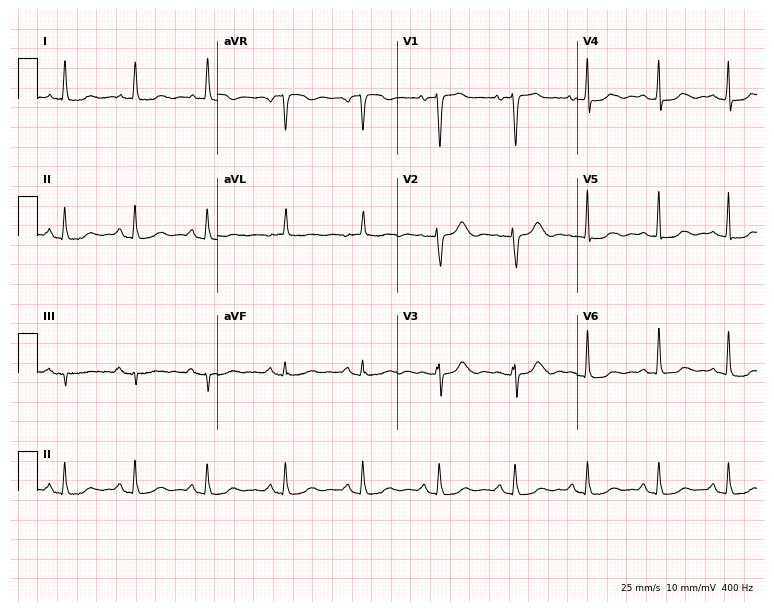
Standard 12-lead ECG recorded from a woman, 69 years old (7.3-second recording at 400 Hz). None of these six findings is recorded: first-degree AV block, right bundle branch block (RBBB), left bundle branch block (LBBB), sinus bradycardia, atrial fibrillation (AF), sinus tachycardia. Findings outside these six are not listed.